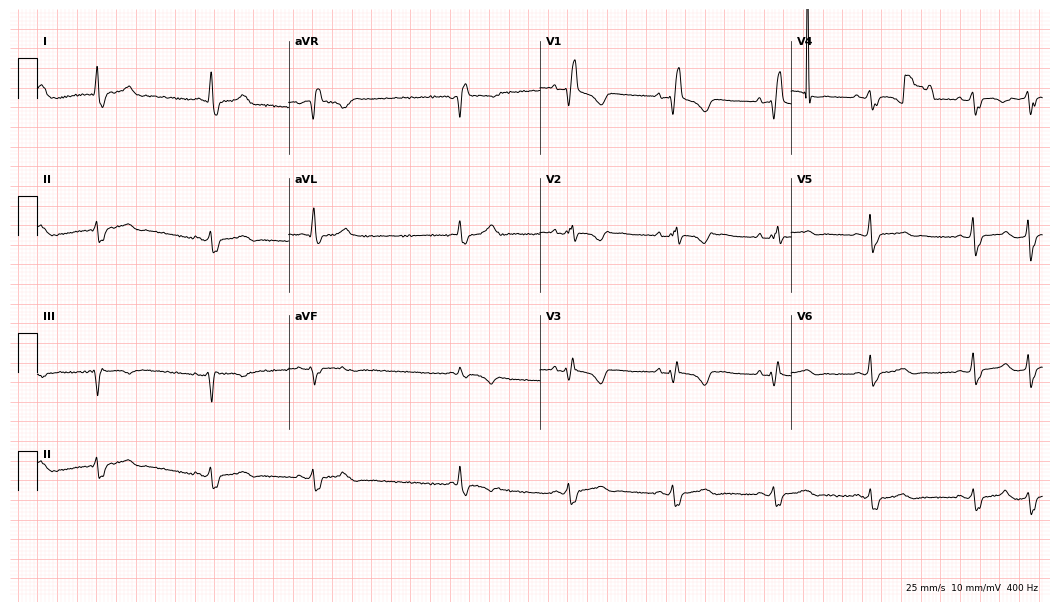
Standard 12-lead ECG recorded from a woman, 49 years old. The tracing shows right bundle branch block.